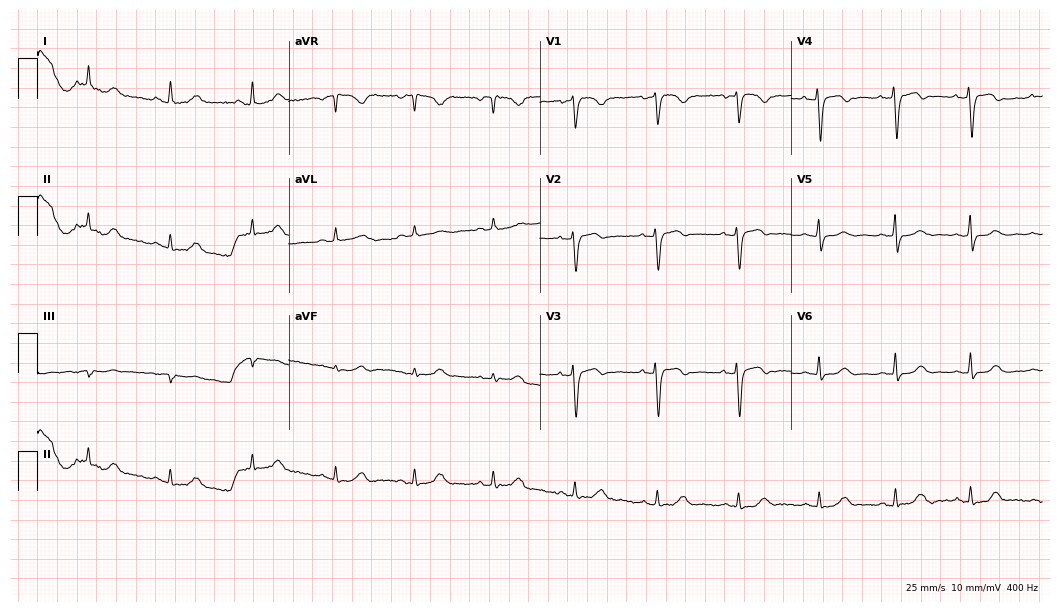
Standard 12-lead ECG recorded from a female, 50 years old. None of these six findings is recorded: first-degree AV block, right bundle branch block, left bundle branch block, sinus bradycardia, atrial fibrillation, sinus tachycardia.